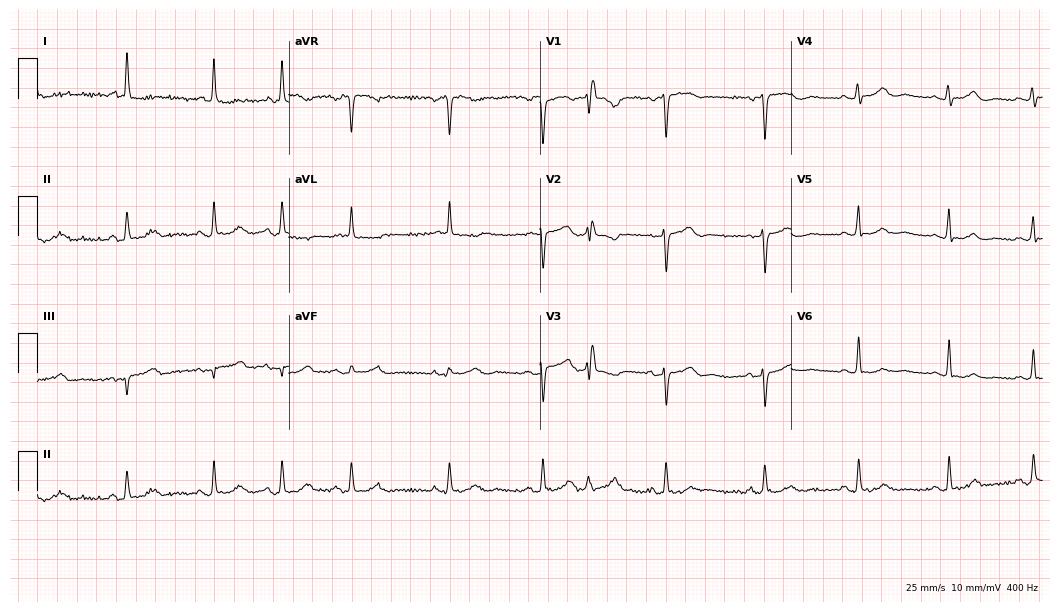
12-lead ECG from a female, 65 years old (10.2-second recording at 400 Hz). No first-degree AV block, right bundle branch block, left bundle branch block, sinus bradycardia, atrial fibrillation or sinus tachycardia recorded for this tracing. Only these six findings were labelled.